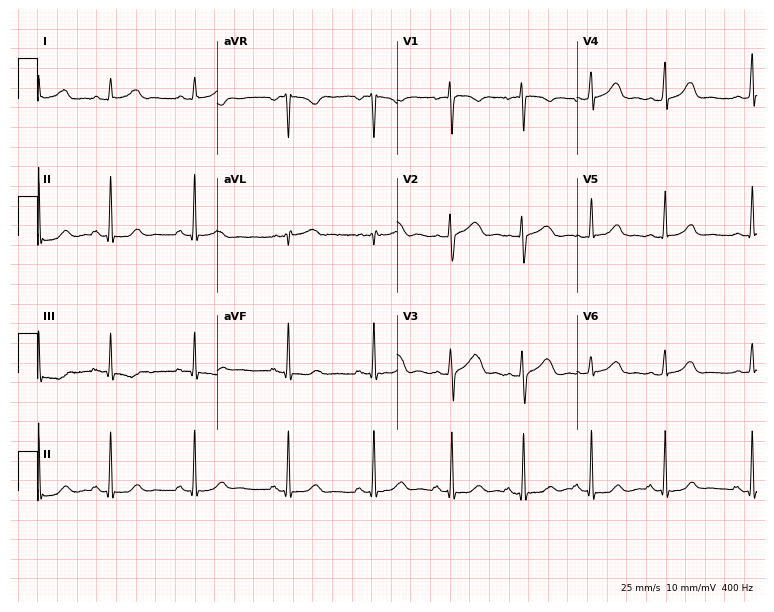
ECG — a 24-year-old woman. Screened for six findings — first-degree AV block, right bundle branch block (RBBB), left bundle branch block (LBBB), sinus bradycardia, atrial fibrillation (AF), sinus tachycardia — none is recorded.